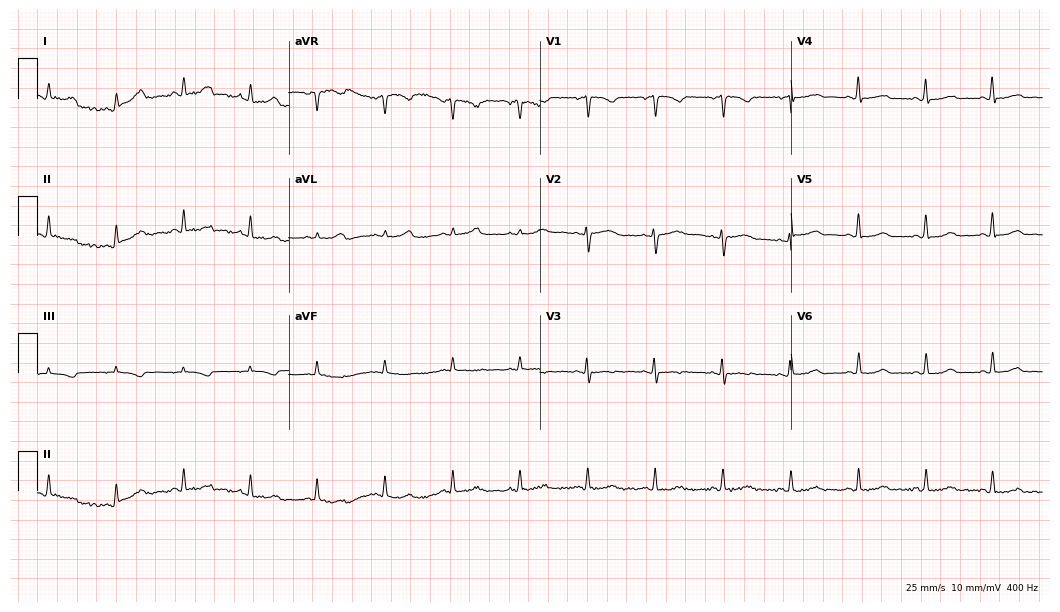
12-lead ECG from a 38-year-old female patient. No first-degree AV block, right bundle branch block (RBBB), left bundle branch block (LBBB), sinus bradycardia, atrial fibrillation (AF) or sinus tachycardia recorded for this tracing. Only these six findings were labelled.